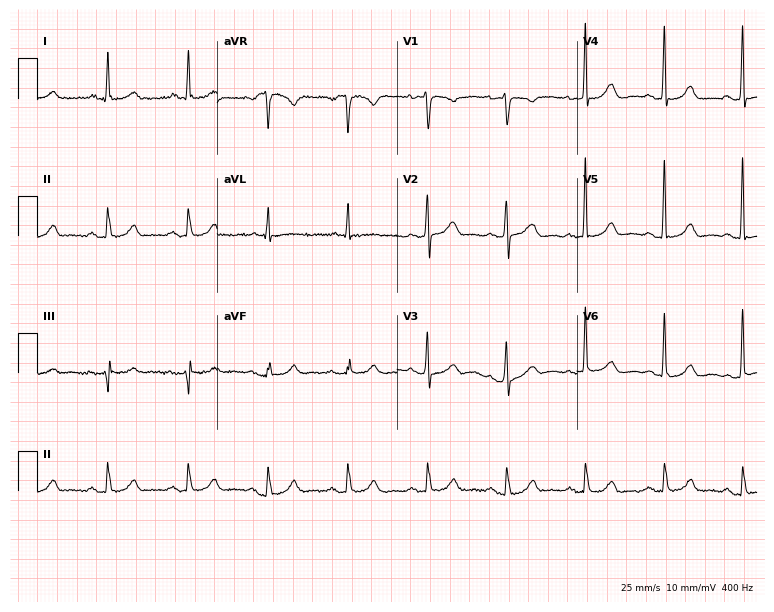
ECG (7.3-second recording at 400 Hz) — a female, 73 years old. Labelled as a normal ECG.